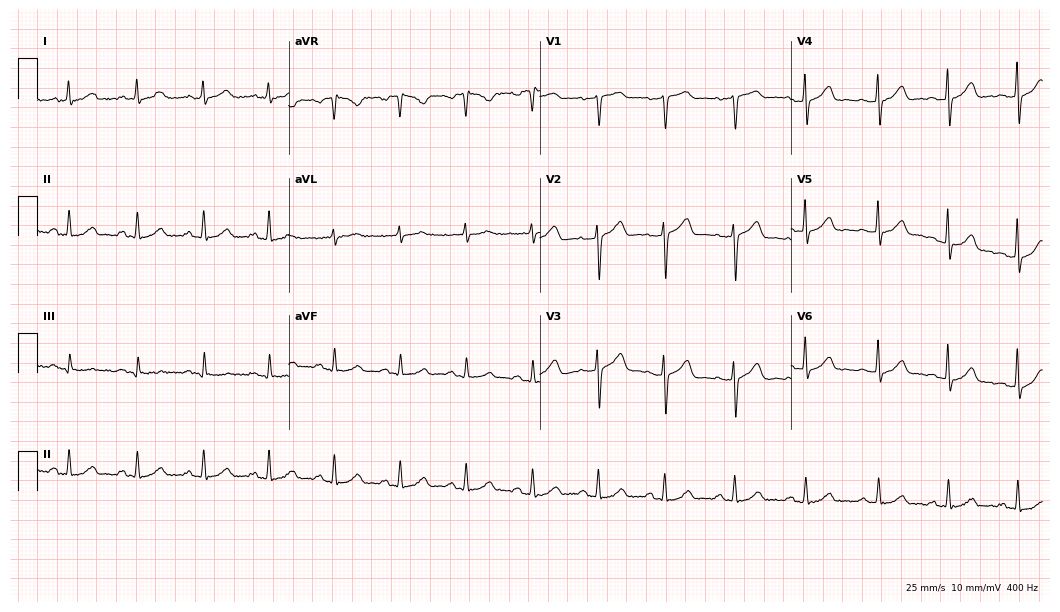
12-lead ECG from a female, 65 years old. Labelled as a normal ECG.